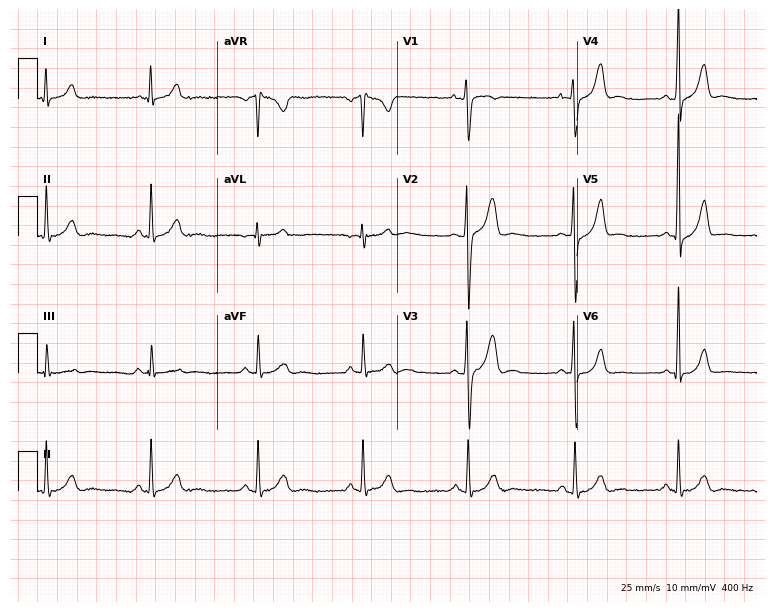
Resting 12-lead electrocardiogram (7.3-second recording at 400 Hz). Patient: a male, 24 years old. None of these six findings is recorded: first-degree AV block, right bundle branch block, left bundle branch block, sinus bradycardia, atrial fibrillation, sinus tachycardia. Other findings, if any, are not listed.